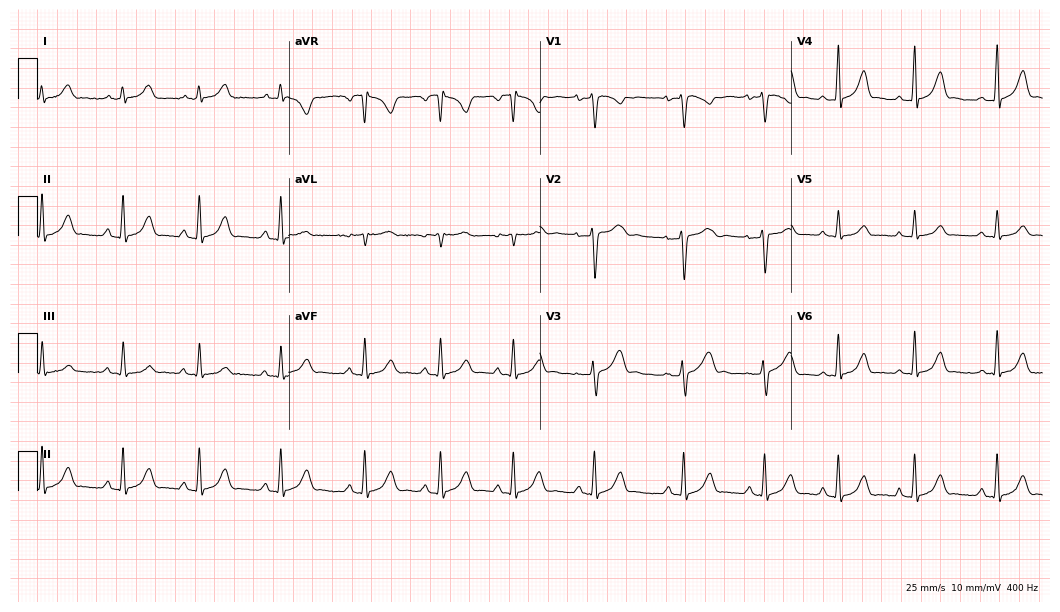
Electrocardiogram, a female, 33 years old. Overall reading on record: normal ECG.